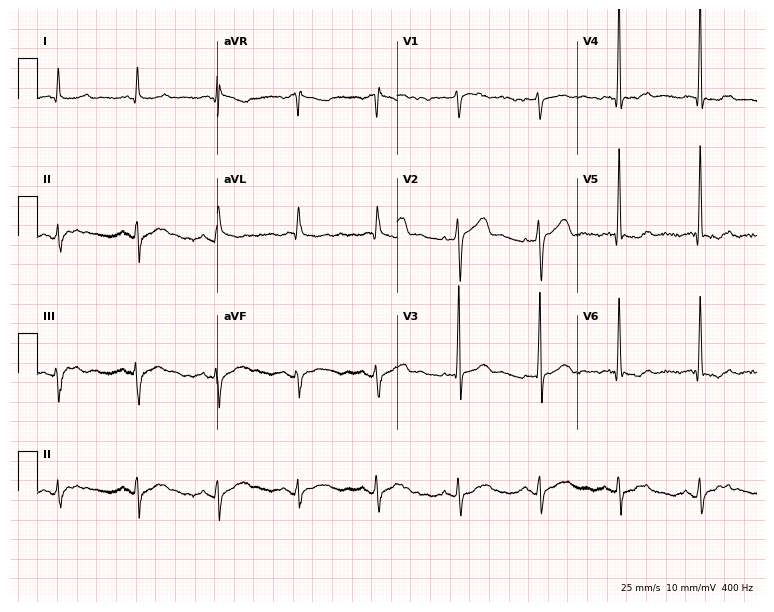
Standard 12-lead ECG recorded from a man, 44 years old. None of these six findings is recorded: first-degree AV block, right bundle branch block (RBBB), left bundle branch block (LBBB), sinus bradycardia, atrial fibrillation (AF), sinus tachycardia.